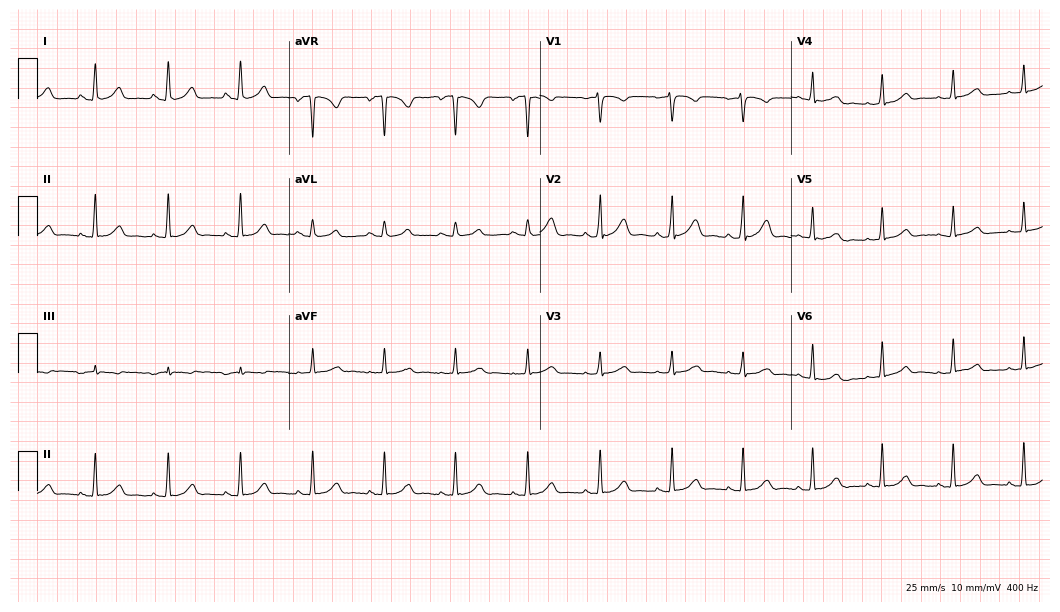
12-lead ECG (10.2-second recording at 400 Hz) from a 38-year-old female. Labelled as a normal ECG.